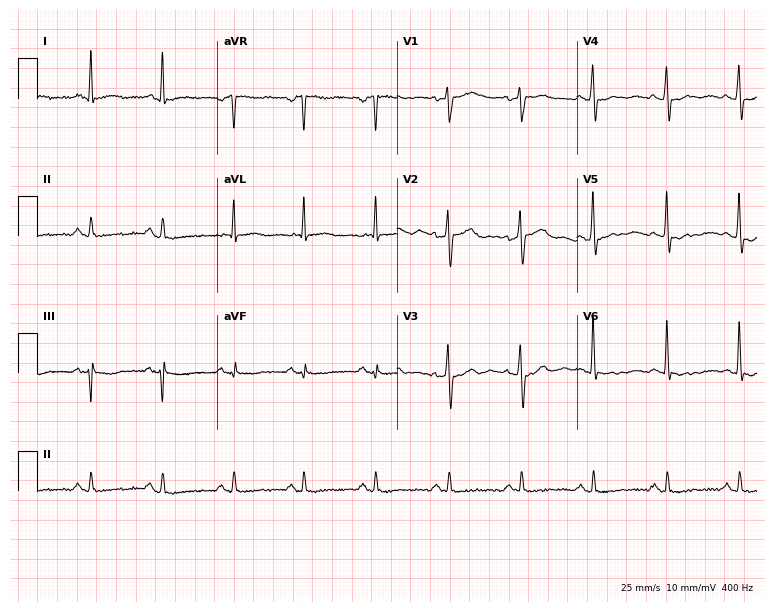
12-lead ECG from a man, 61 years old (7.3-second recording at 400 Hz). No first-degree AV block, right bundle branch block (RBBB), left bundle branch block (LBBB), sinus bradycardia, atrial fibrillation (AF) or sinus tachycardia recorded for this tracing. Findings outside these six are not listed.